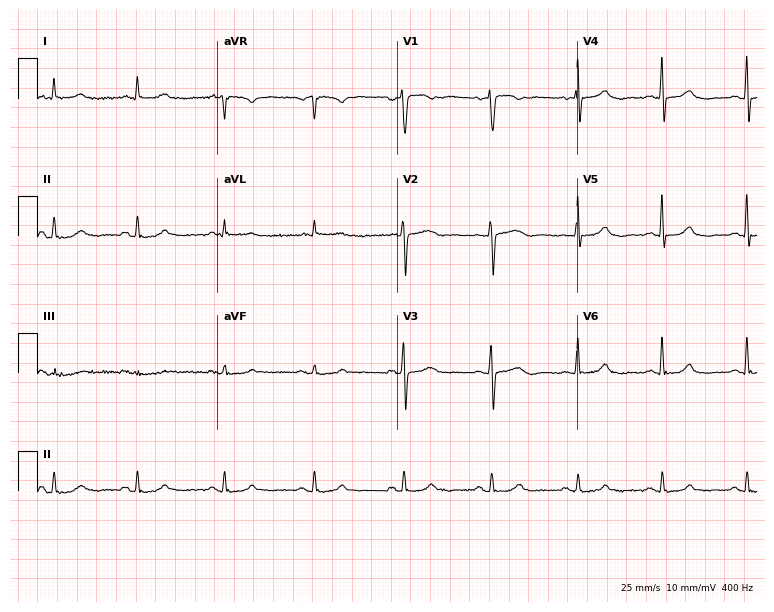
Electrocardiogram, a male, 75 years old. Overall reading on record: normal ECG.